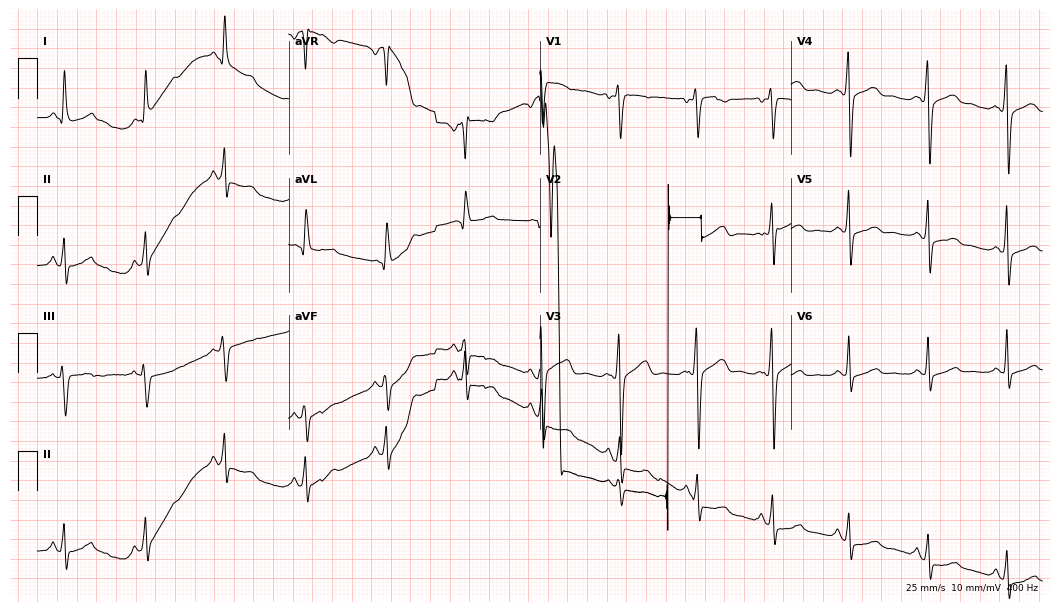
Electrocardiogram, a female patient, 45 years old. Of the six screened findings (first-degree AV block, right bundle branch block, left bundle branch block, sinus bradycardia, atrial fibrillation, sinus tachycardia), none is recorded.